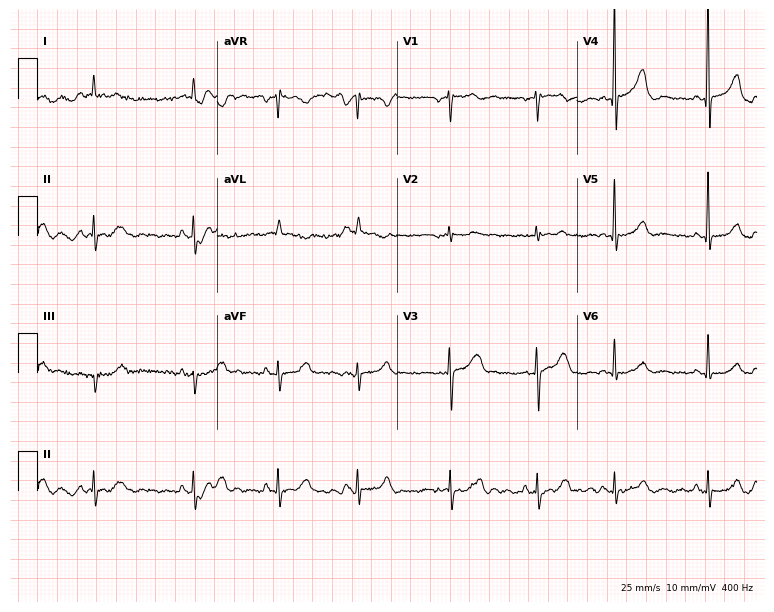
ECG — a woman, 75 years old. Screened for six findings — first-degree AV block, right bundle branch block (RBBB), left bundle branch block (LBBB), sinus bradycardia, atrial fibrillation (AF), sinus tachycardia — none is recorded. Only these six findings were labelled.